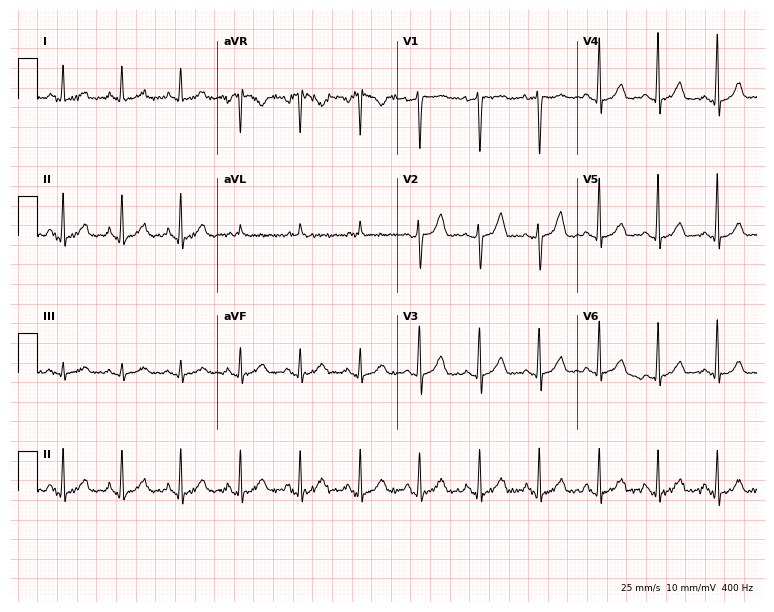
Resting 12-lead electrocardiogram. Patient: a woman, 46 years old. None of these six findings is recorded: first-degree AV block, right bundle branch block, left bundle branch block, sinus bradycardia, atrial fibrillation, sinus tachycardia.